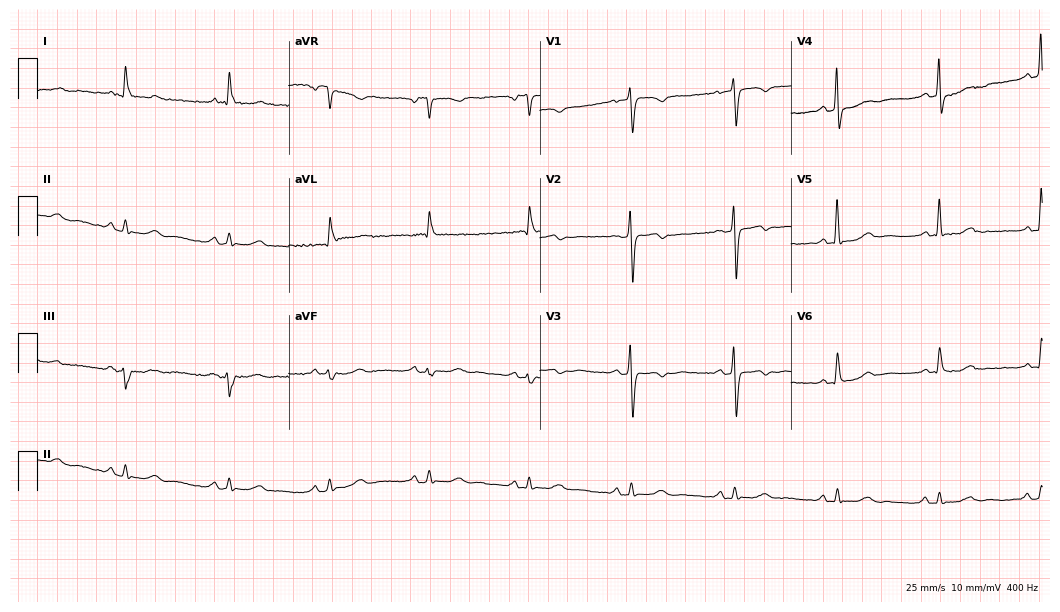
Resting 12-lead electrocardiogram. Patient: a woman, 82 years old. None of these six findings is recorded: first-degree AV block, right bundle branch block (RBBB), left bundle branch block (LBBB), sinus bradycardia, atrial fibrillation (AF), sinus tachycardia.